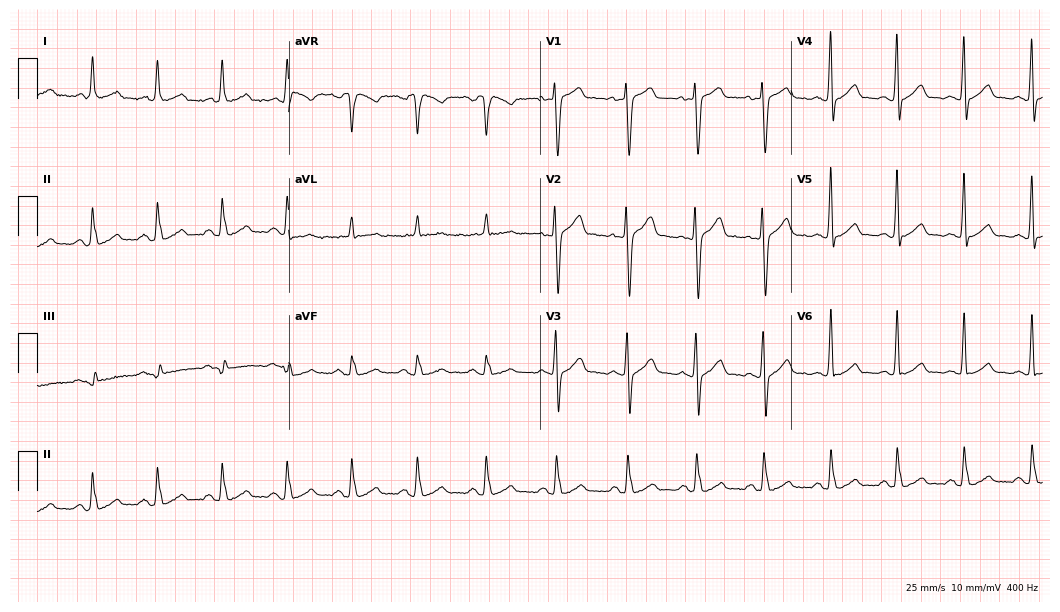
ECG — a male, 51 years old. Labelled as a normal ECG.